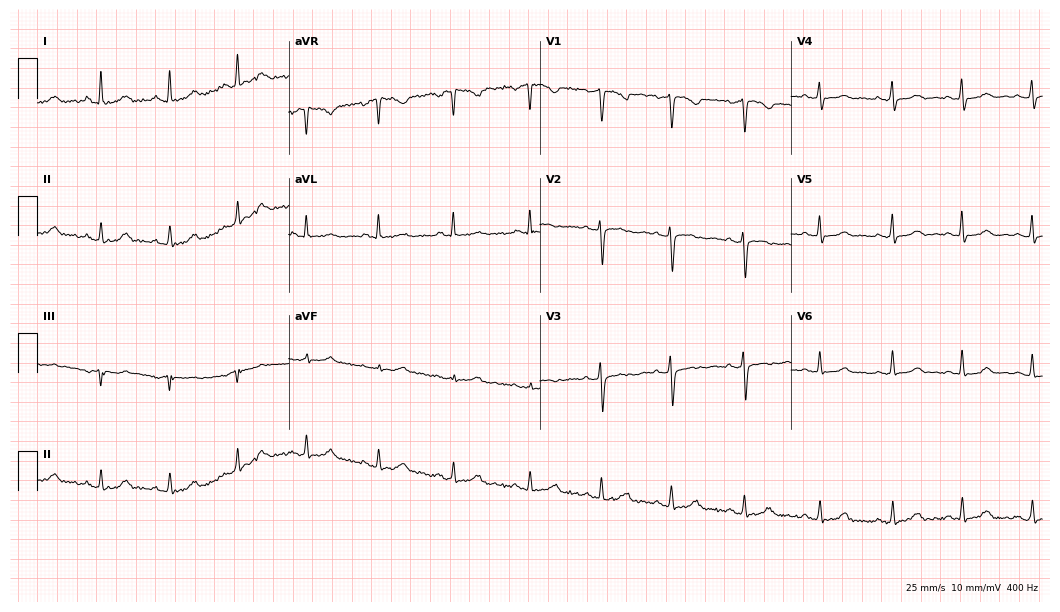
12-lead ECG from a 48-year-old woman. Recorded interpretation: within normal limits.